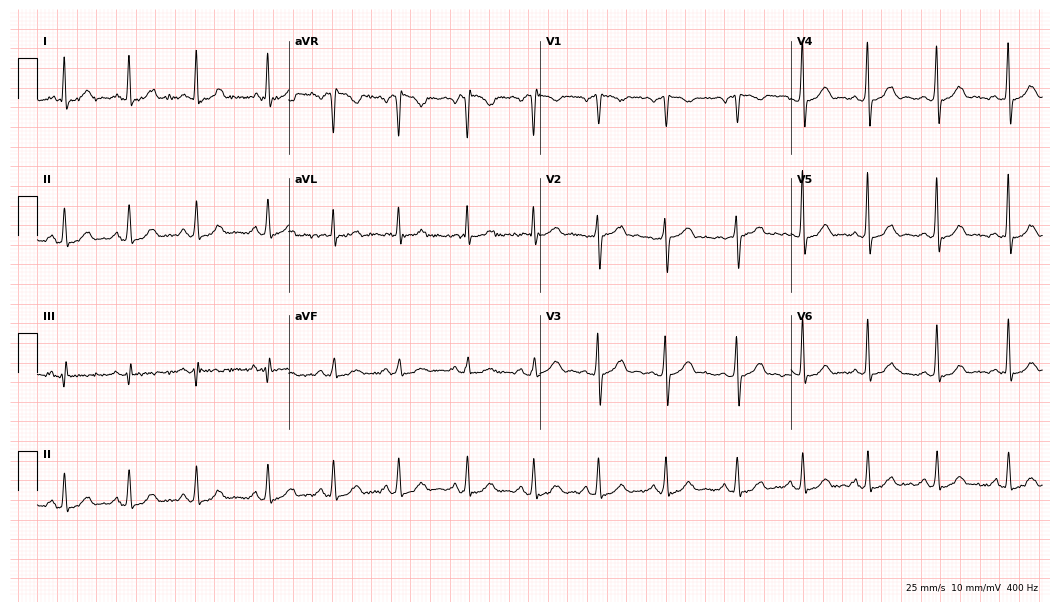
ECG (10.2-second recording at 400 Hz) — a 41-year-old female. Labelled as a normal ECG.